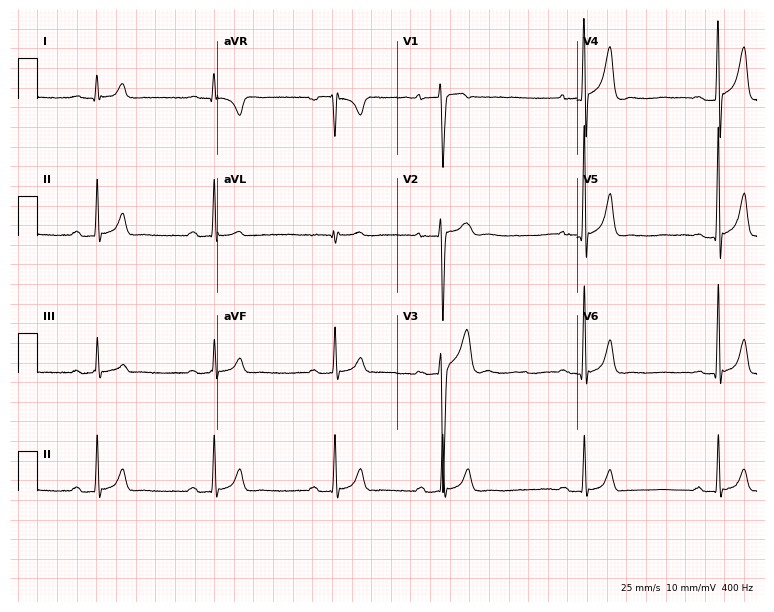
Resting 12-lead electrocardiogram (7.3-second recording at 400 Hz). Patient: a male, 21 years old. The tracing shows first-degree AV block, right bundle branch block.